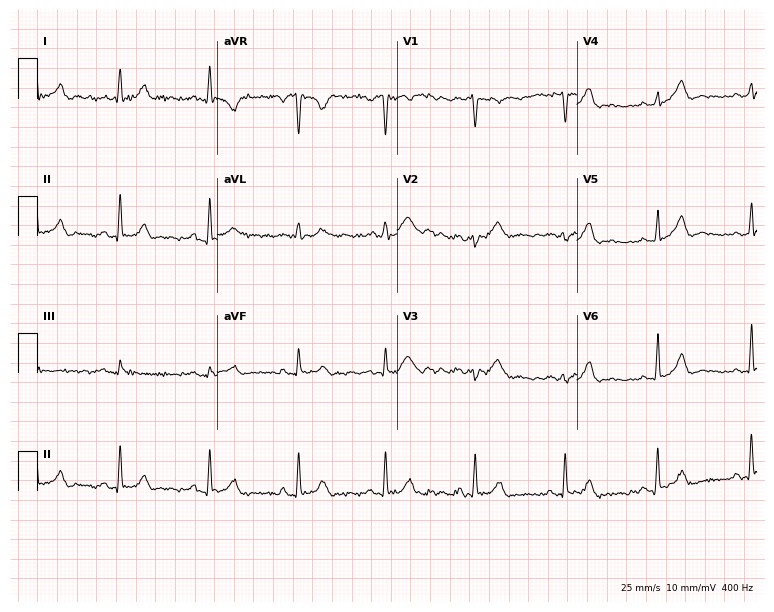
ECG — a 31-year-old female. Screened for six findings — first-degree AV block, right bundle branch block, left bundle branch block, sinus bradycardia, atrial fibrillation, sinus tachycardia — none is recorded.